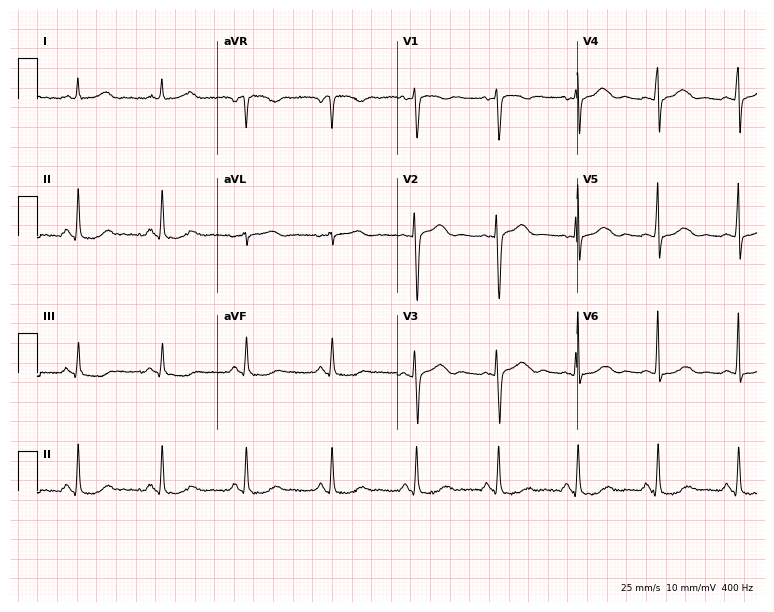
Electrocardiogram, a 51-year-old woman. Of the six screened findings (first-degree AV block, right bundle branch block (RBBB), left bundle branch block (LBBB), sinus bradycardia, atrial fibrillation (AF), sinus tachycardia), none is recorded. Only these six findings were labelled.